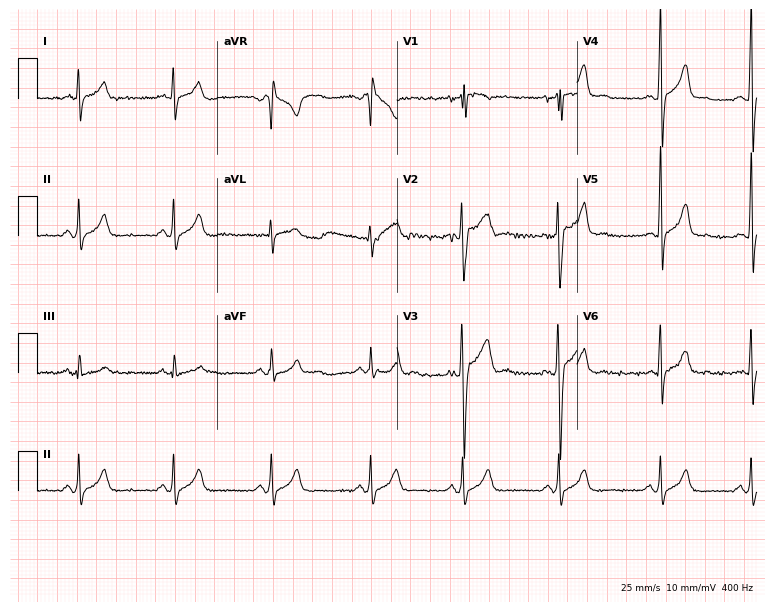
Resting 12-lead electrocardiogram (7.3-second recording at 400 Hz). Patient: an 18-year-old male. None of these six findings is recorded: first-degree AV block, right bundle branch block, left bundle branch block, sinus bradycardia, atrial fibrillation, sinus tachycardia. Other findings, if any, are not listed.